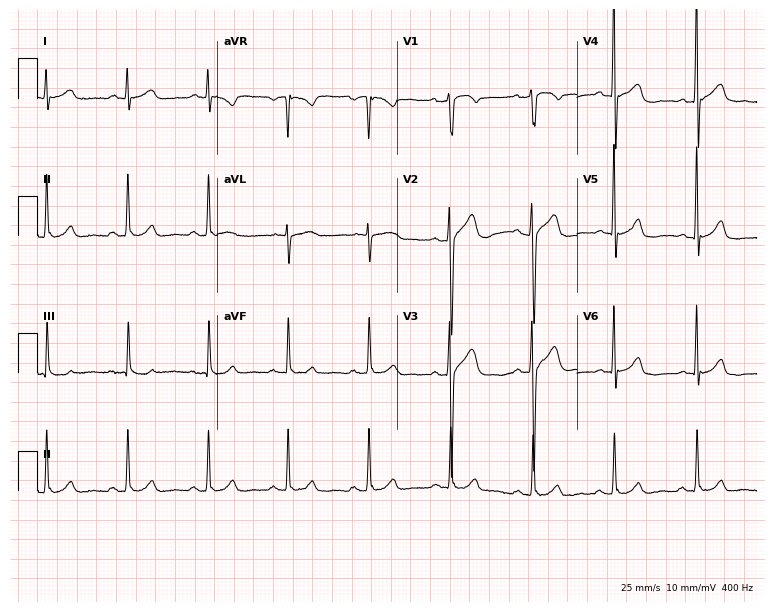
Standard 12-lead ECG recorded from a male patient, 49 years old (7.3-second recording at 400 Hz). Read as a normal ECG.